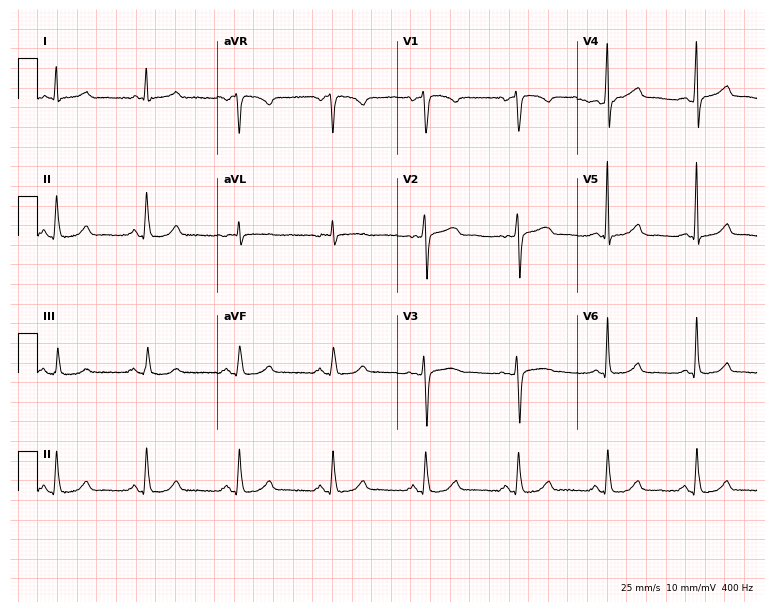
12-lead ECG from a 53-year-old female patient. No first-degree AV block, right bundle branch block, left bundle branch block, sinus bradycardia, atrial fibrillation or sinus tachycardia recorded for this tracing. Other findings, if any, are not listed.